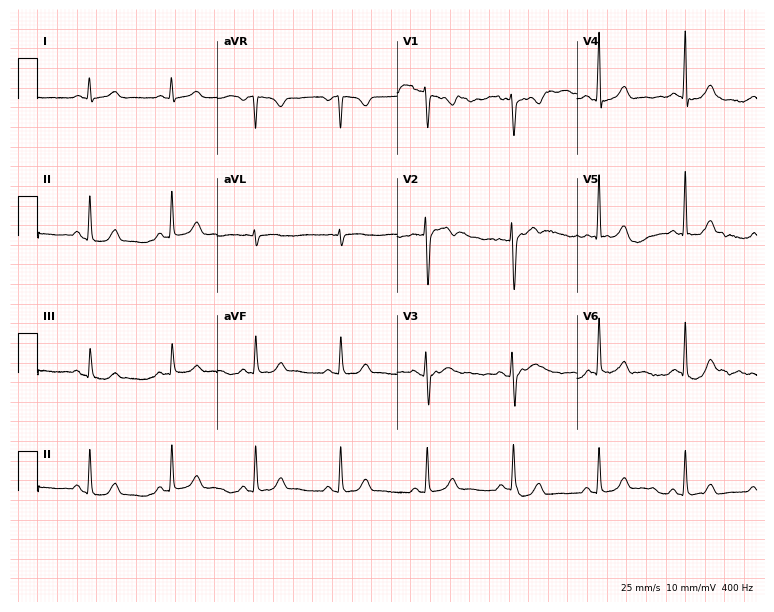
Electrocardiogram (7.3-second recording at 400 Hz), a 29-year-old female patient. Of the six screened findings (first-degree AV block, right bundle branch block (RBBB), left bundle branch block (LBBB), sinus bradycardia, atrial fibrillation (AF), sinus tachycardia), none is recorded.